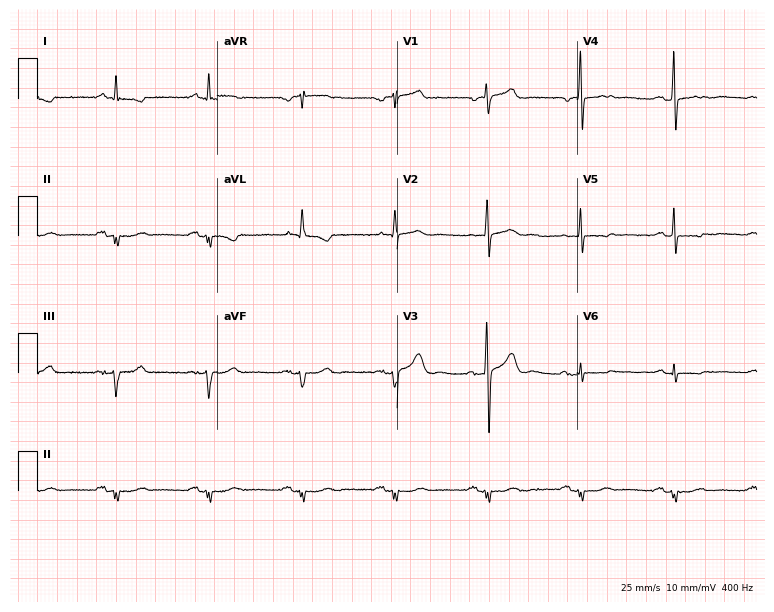
12-lead ECG from a 78-year-old male patient. Screened for six findings — first-degree AV block, right bundle branch block, left bundle branch block, sinus bradycardia, atrial fibrillation, sinus tachycardia — none is recorded. Findings outside these six are not listed.